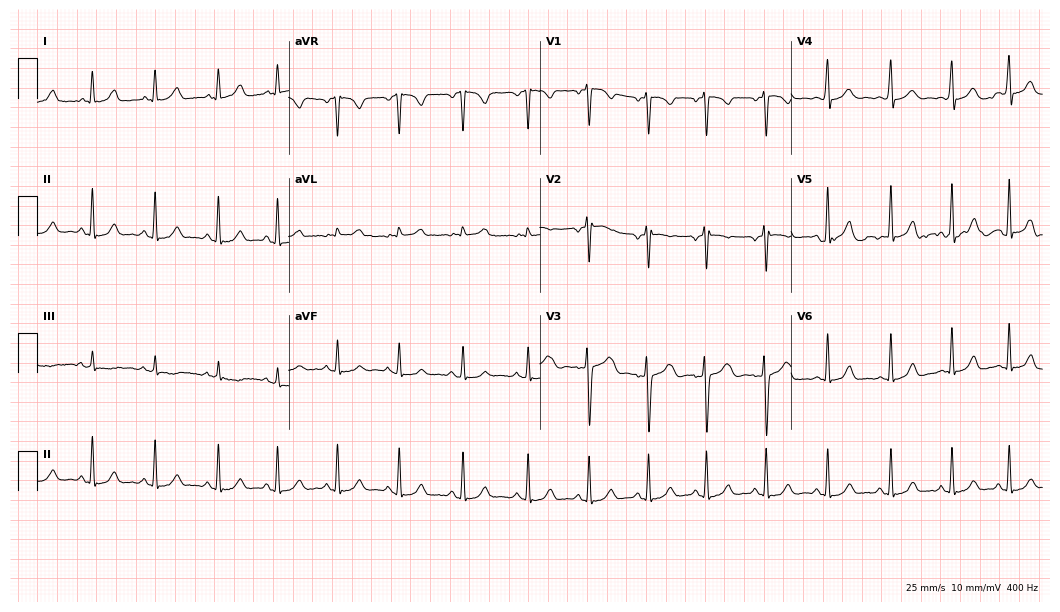
Standard 12-lead ECG recorded from a female, 21 years old (10.2-second recording at 400 Hz). None of these six findings is recorded: first-degree AV block, right bundle branch block (RBBB), left bundle branch block (LBBB), sinus bradycardia, atrial fibrillation (AF), sinus tachycardia.